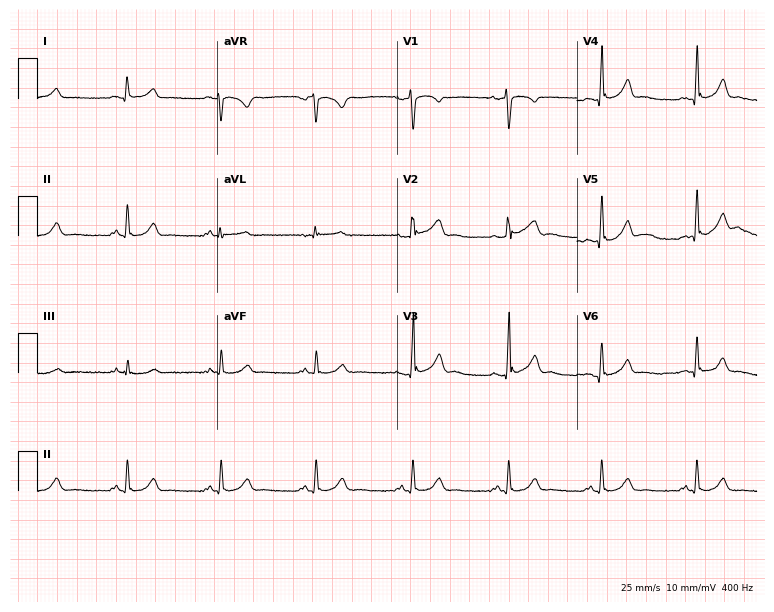
Resting 12-lead electrocardiogram (7.3-second recording at 400 Hz). Patient: a 34-year-old woman. Read as a normal ECG.